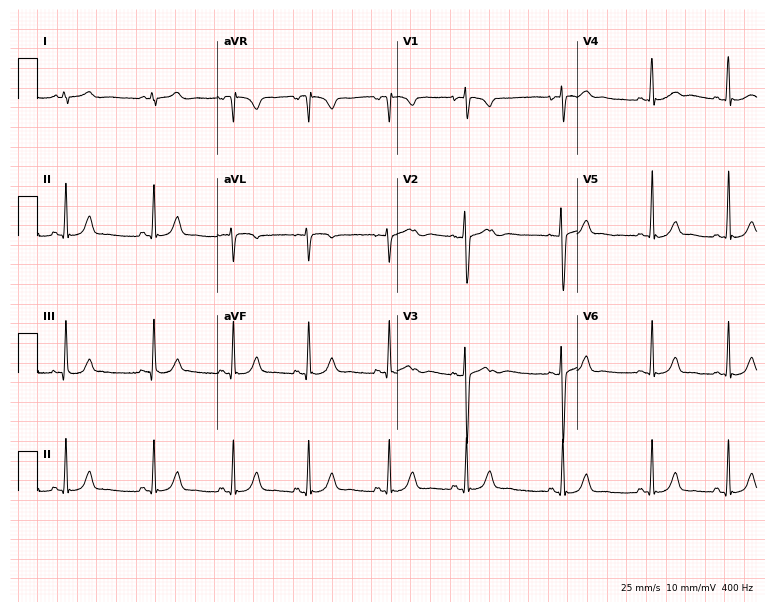
Electrocardiogram (7.3-second recording at 400 Hz), a woman, 28 years old. Overall reading on record: normal ECG.